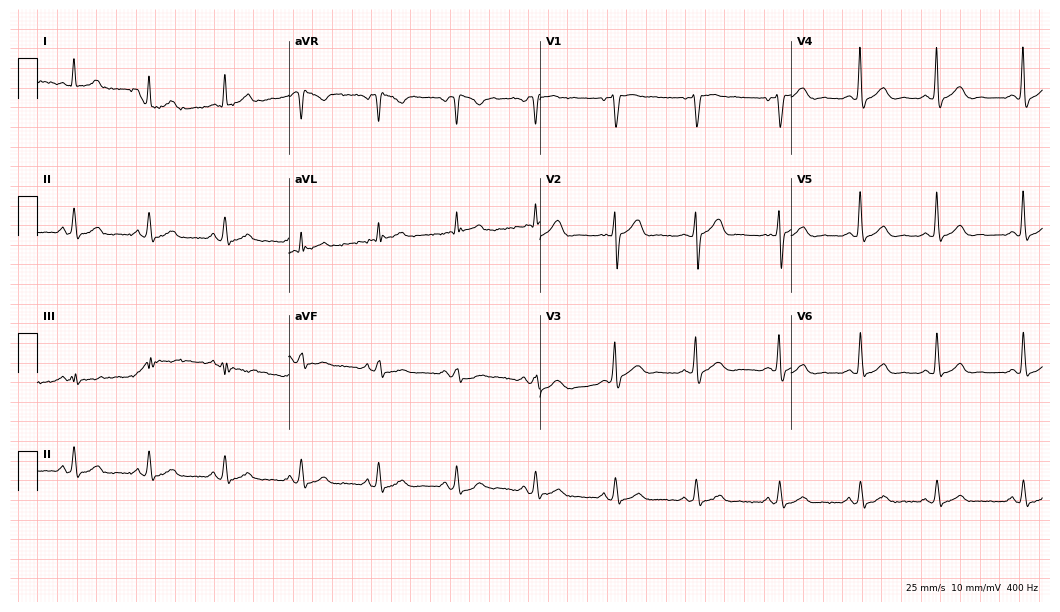
Resting 12-lead electrocardiogram. Patient: a male, 61 years old. Read as a normal ECG.